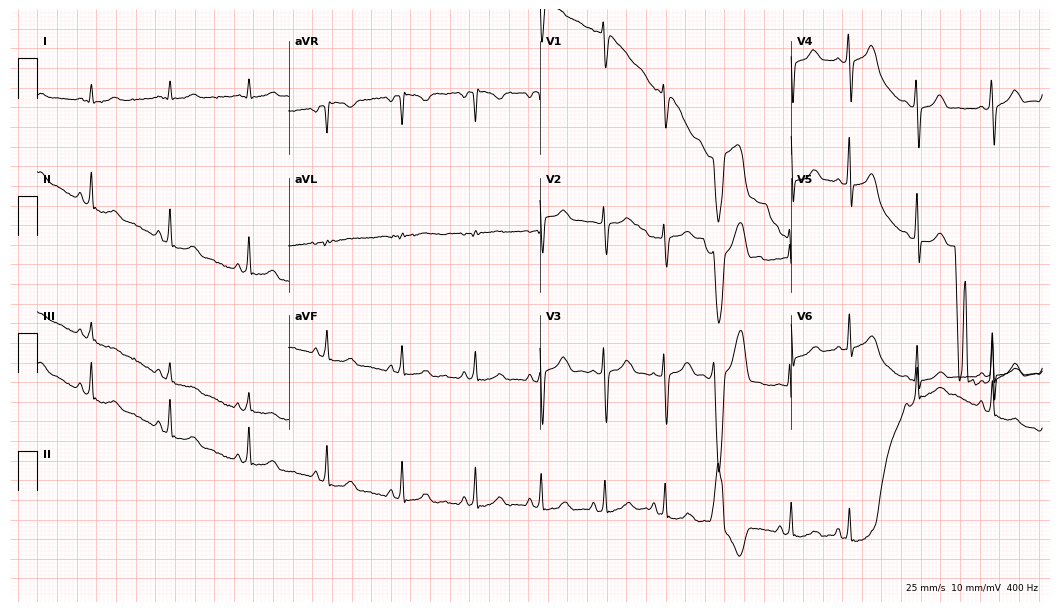
12-lead ECG from a woman, 21 years old. Labelled as a normal ECG.